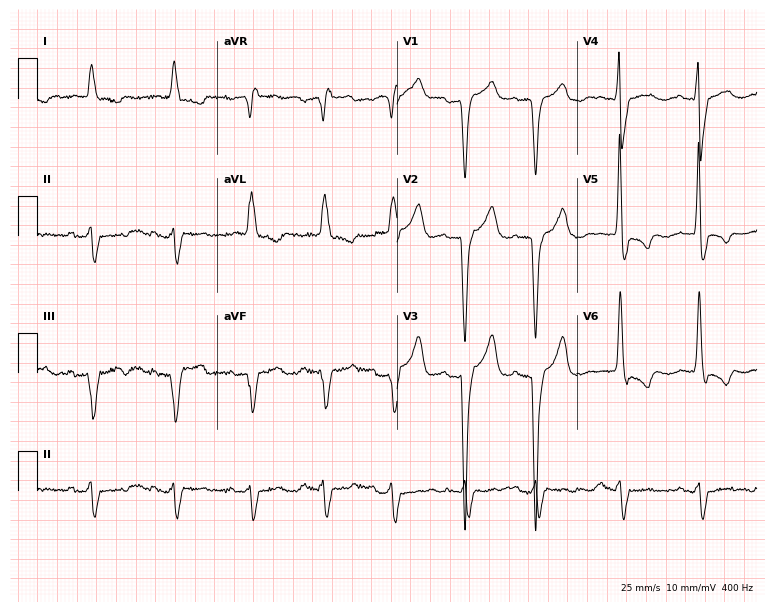
Electrocardiogram (7.3-second recording at 400 Hz), an 80-year-old man. Interpretation includes left bundle branch block (LBBB).